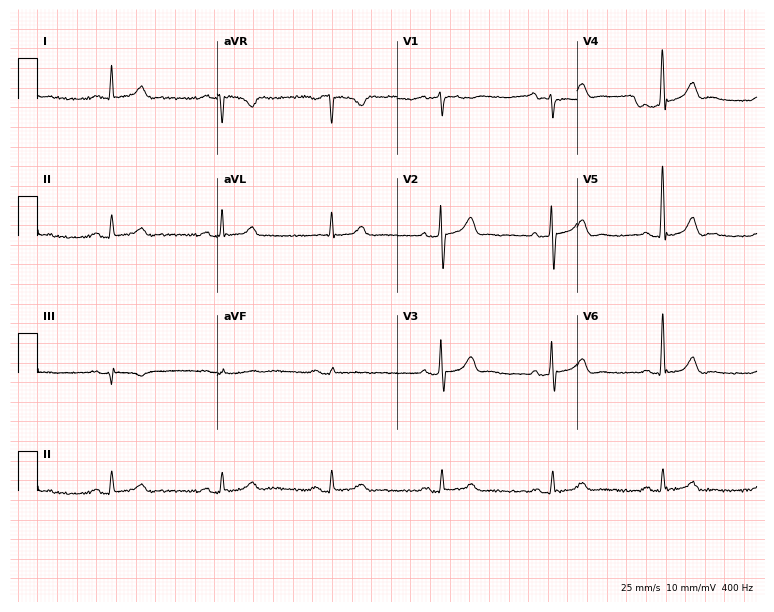
12-lead ECG (7.3-second recording at 400 Hz) from a male patient, 68 years old. Labelled as a normal ECG.